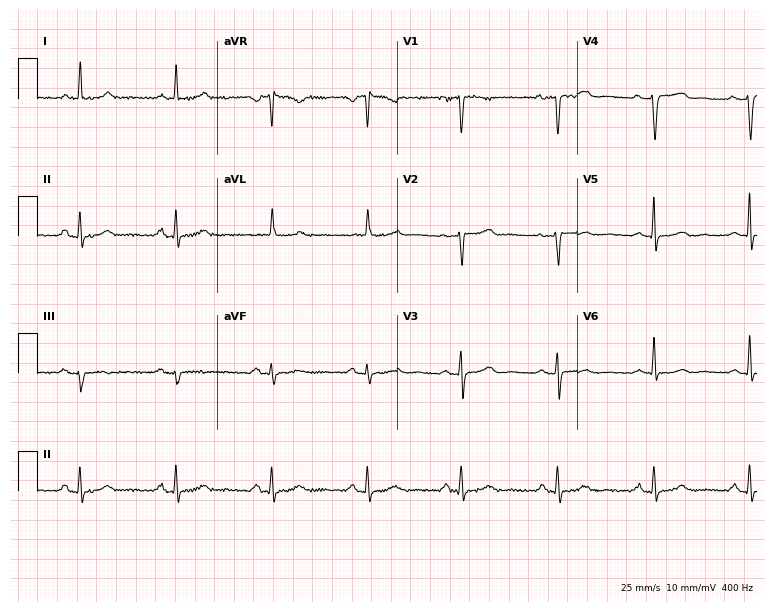
Resting 12-lead electrocardiogram (7.3-second recording at 400 Hz). Patient: a female, 66 years old. Read as a normal ECG.